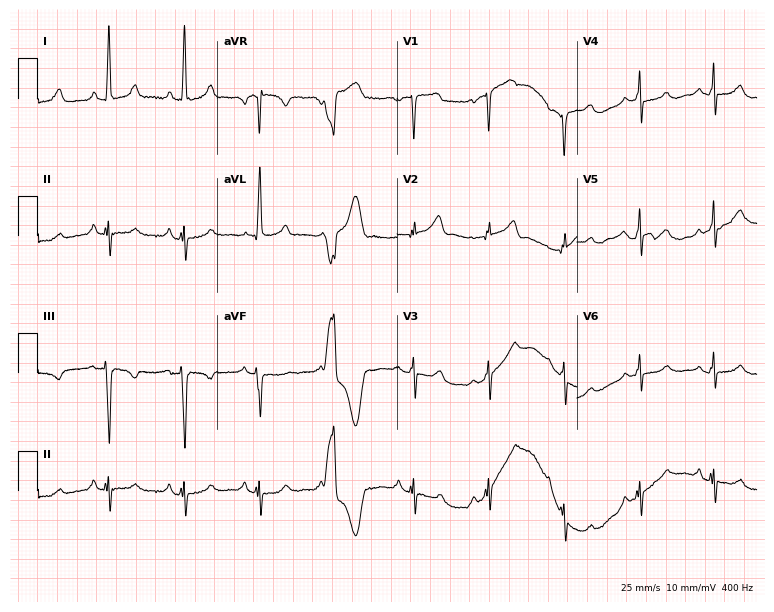
12-lead ECG from a woman, 69 years old. No first-degree AV block, right bundle branch block (RBBB), left bundle branch block (LBBB), sinus bradycardia, atrial fibrillation (AF) or sinus tachycardia recorded for this tracing. Findings outside these six are not listed.